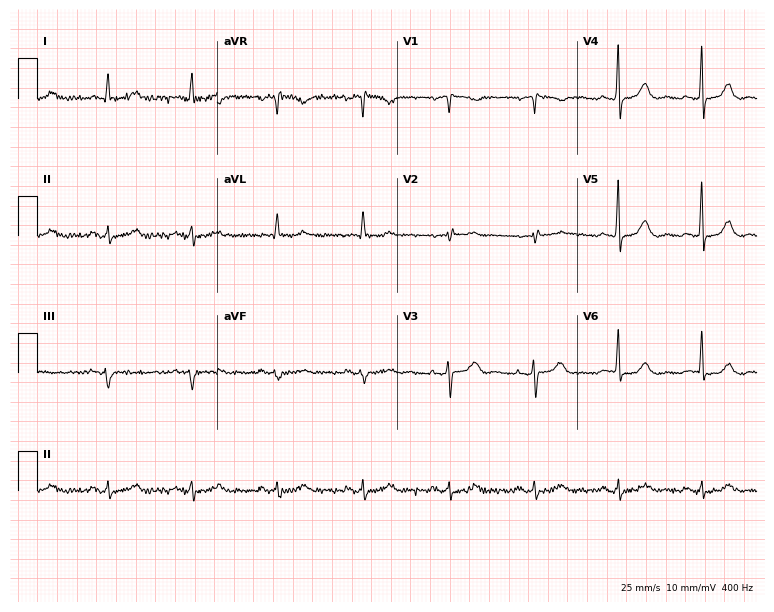
12-lead ECG from a woman, 85 years old. No first-degree AV block, right bundle branch block, left bundle branch block, sinus bradycardia, atrial fibrillation or sinus tachycardia recorded for this tracing. Other findings, if any, are not listed.